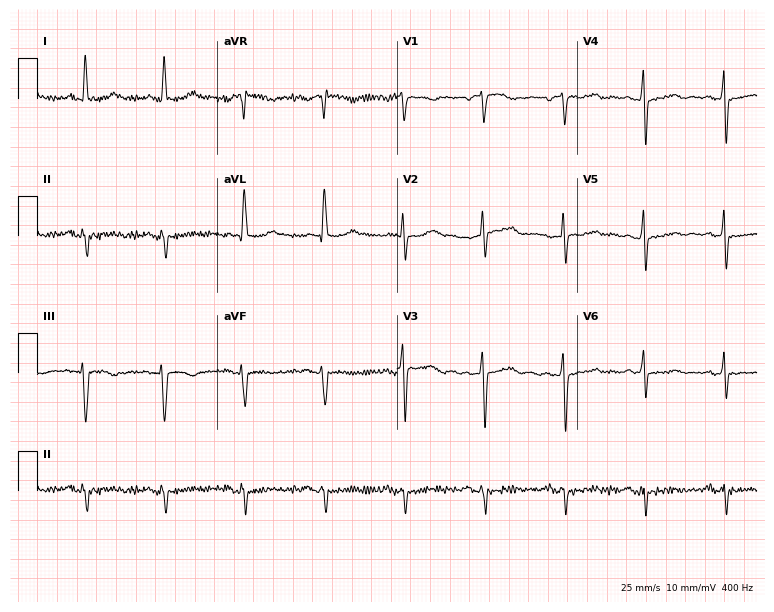
12-lead ECG (7.3-second recording at 400 Hz) from an 80-year-old female. Screened for six findings — first-degree AV block, right bundle branch block, left bundle branch block, sinus bradycardia, atrial fibrillation, sinus tachycardia — none is recorded. Other findings, if any, are not listed.